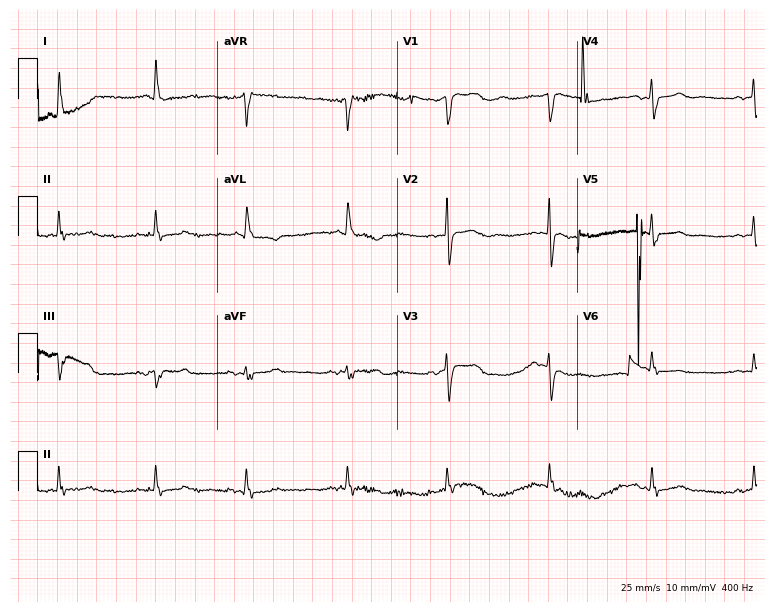
12-lead ECG (7.3-second recording at 400 Hz) from an 84-year-old woman. Screened for six findings — first-degree AV block, right bundle branch block, left bundle branch block, sinus bradycardia, atrial fibrillation, sinus tachycardia — none is recorded. Findings outside these six are not listed.